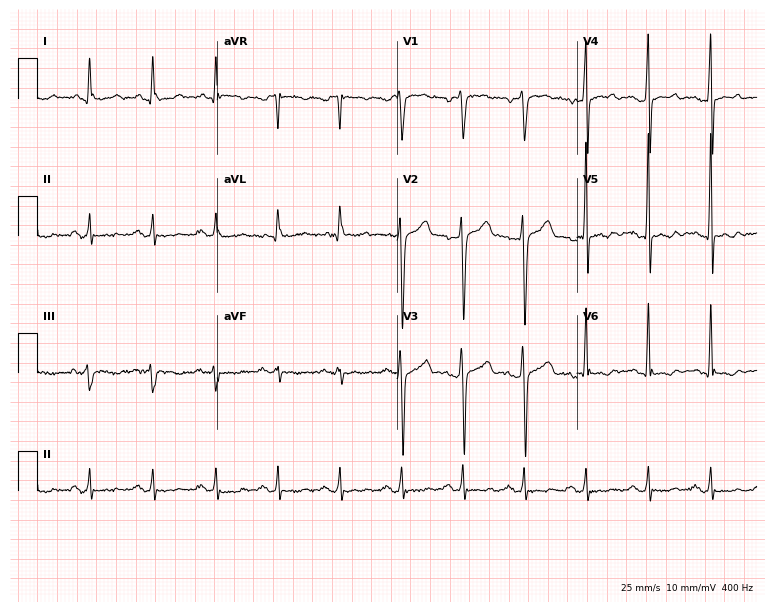
12-lead ECG from a man, 44 years old. No first-degree AV block, right bundle branch block, left bundle branch block, sinus bradycardia, atrial fibrillation or sinus tachycardia recorded for this tracing.